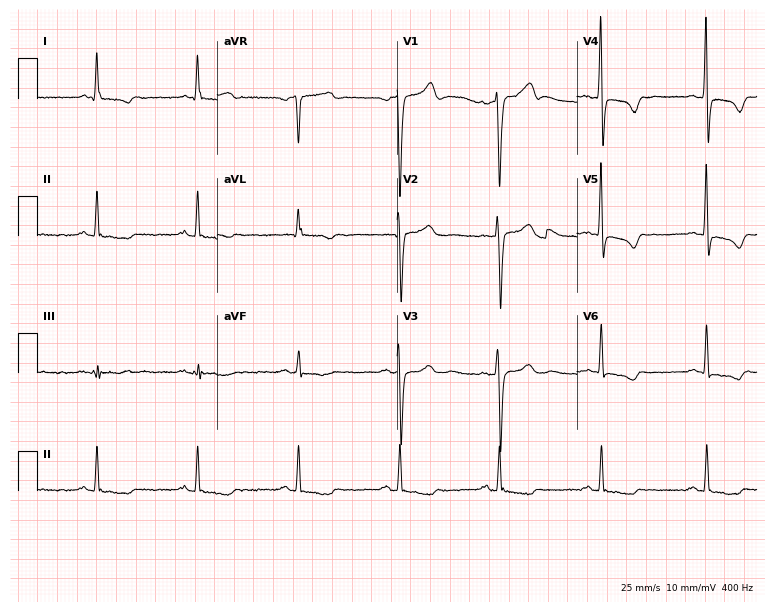
Electrocardiogram, a 65-year-old male. Of the six screened findings (first-degree AV block, right bundle branch block, left bundle branch block, sinus bradycardia, atrial fibrillation, sinus tachycardia), none is recorded. Other findings, if any, are not listed.